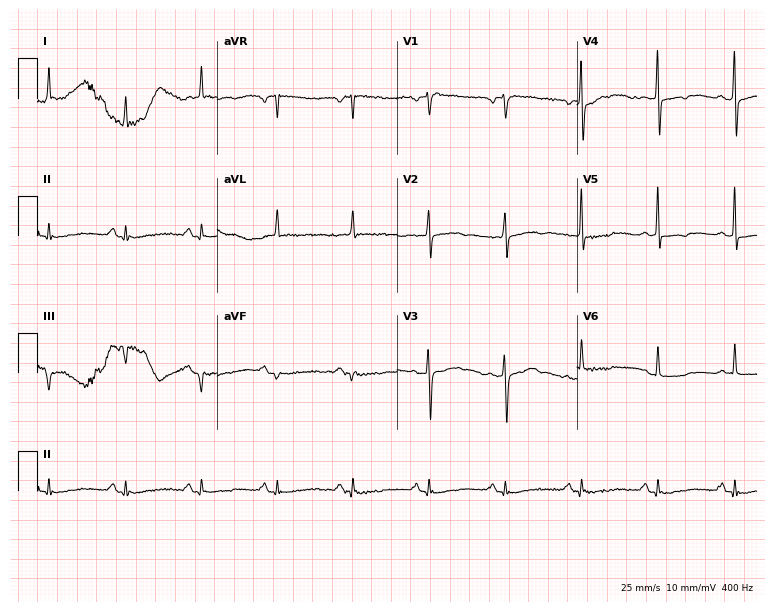
Electrocardiogram (7.3-second recording at 400 Hz), a man, 80 years old. Of the six screened findings (first-degree AV block, right bundle branch block (RBBB), left bundle branch block (LBBB), sinus bradycardia, atrial fibrillation (AF), sinus tachycardia), none is recorded. Findings outside these six are not listed.